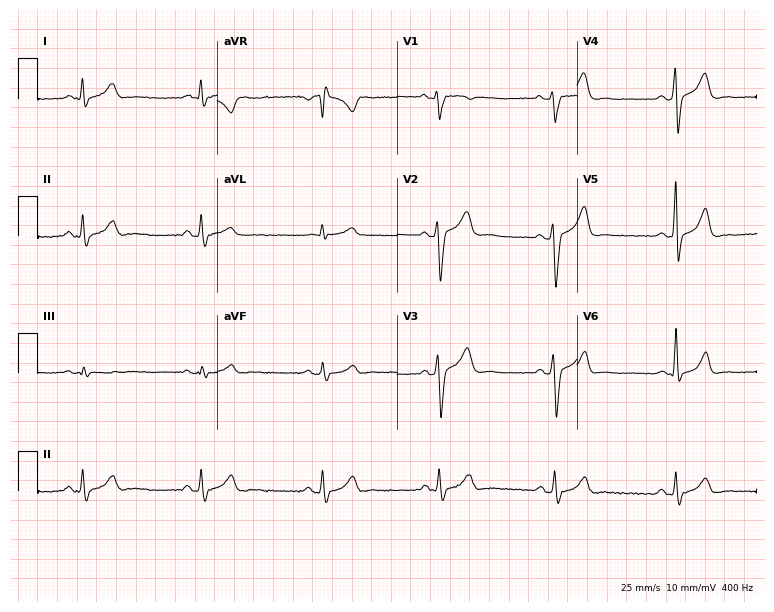
12-lead ECG from a male, 33 years old (7.3-second recording at 400 Hz). No first-degree AV block, right bundle branch block (RBBB), left bundle branch block (LBBB), sinus bradycardia, atrial fibrillation (AF) or sinus tachycardia recorded for this tracing.